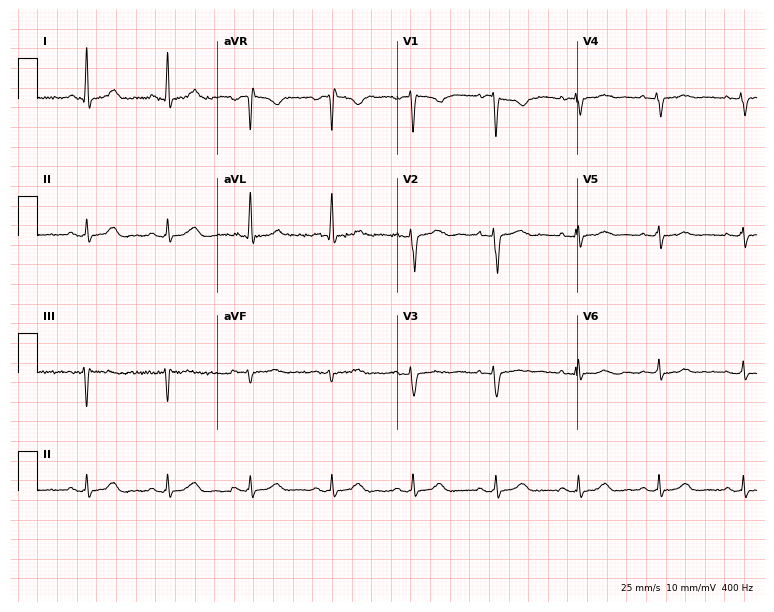
Standard 12-lead ECG recorded from a 48-year-old woman (7.3-second recording at 400 Hz). Read as a normal ECG.